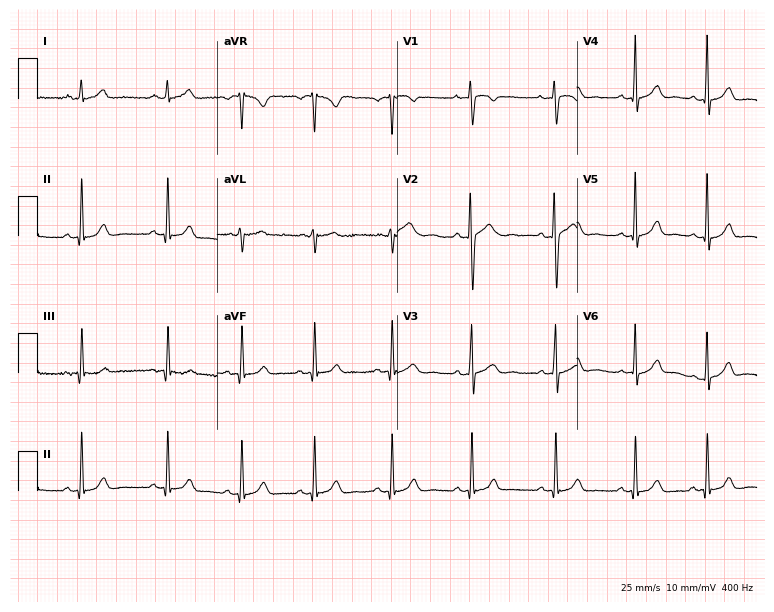
12-lead ECG from a female, 28 years old. Recorded interpretation: within normal limits.